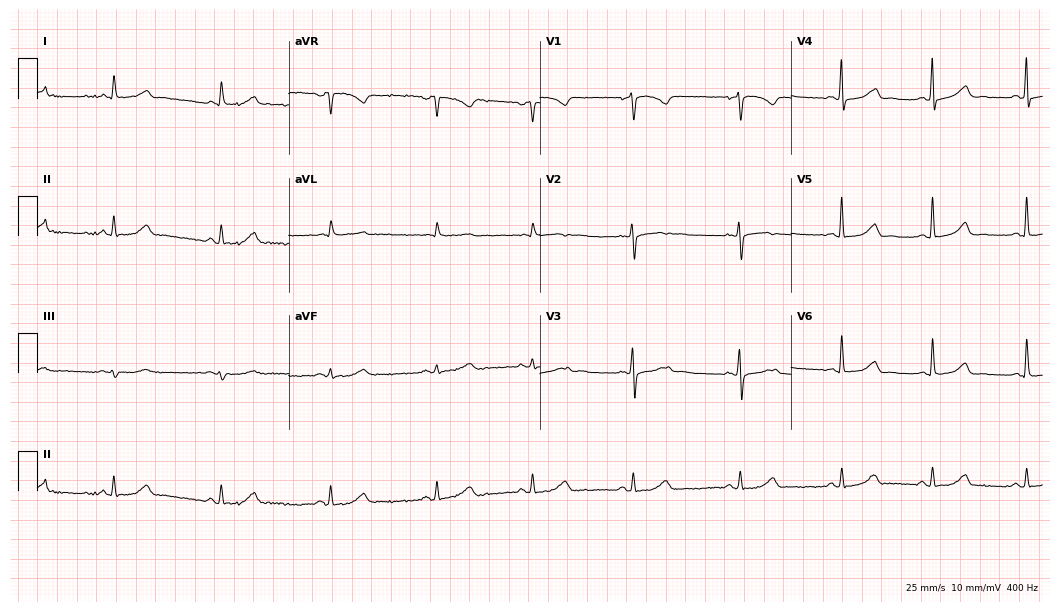
Electrocardiogram, a 58-year-old woman. Of the six screened findings (first-degree AV block, right bundle branch block, left bundle branch block, sinus bradycardia, atrial fibrillation, sinus tachycardia), none is recorded.